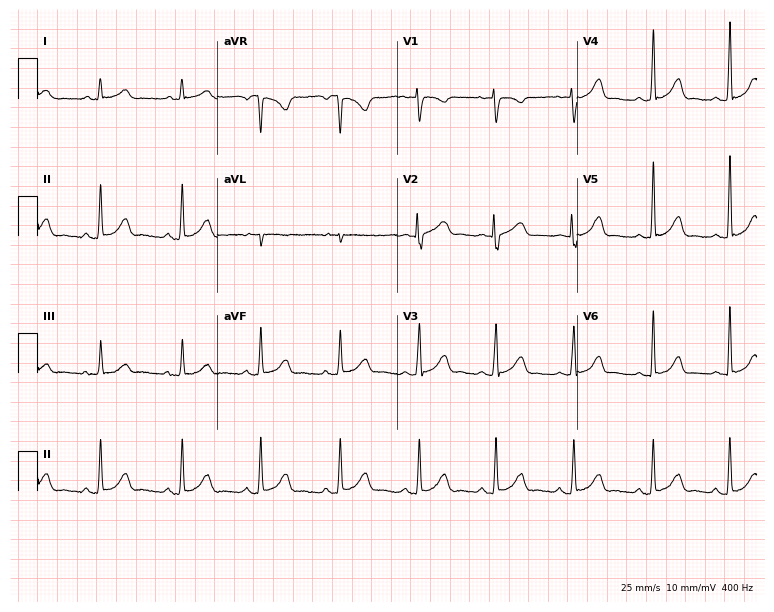
ECG (7.3-second recording at 400 Hz) — a female patient, 44 years old. Labelled as a normal ECG.